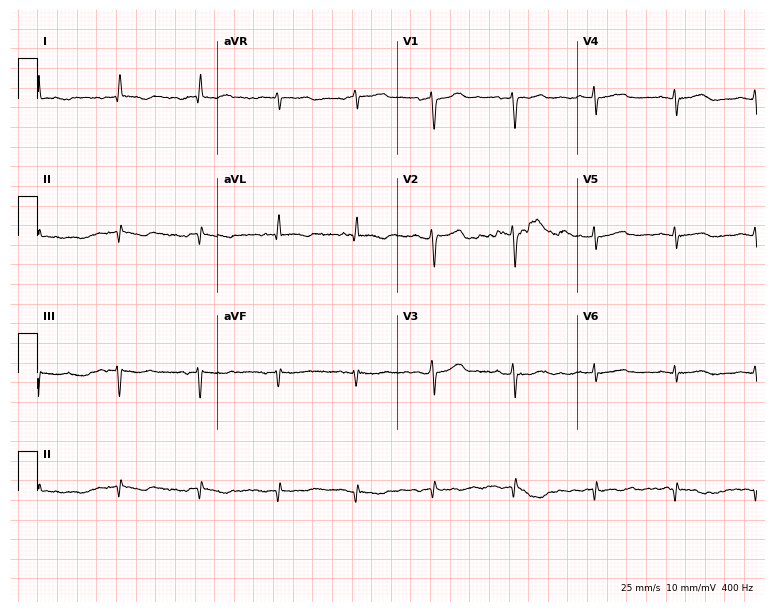
Electrocardiogram, a woman, 54 years old. Of the six screened findings (first-degree AV block, right bundle branch block, left bundle branch block, sinus bradycardia, atrial fibrillation, sinus tachycardia), none is recorded.